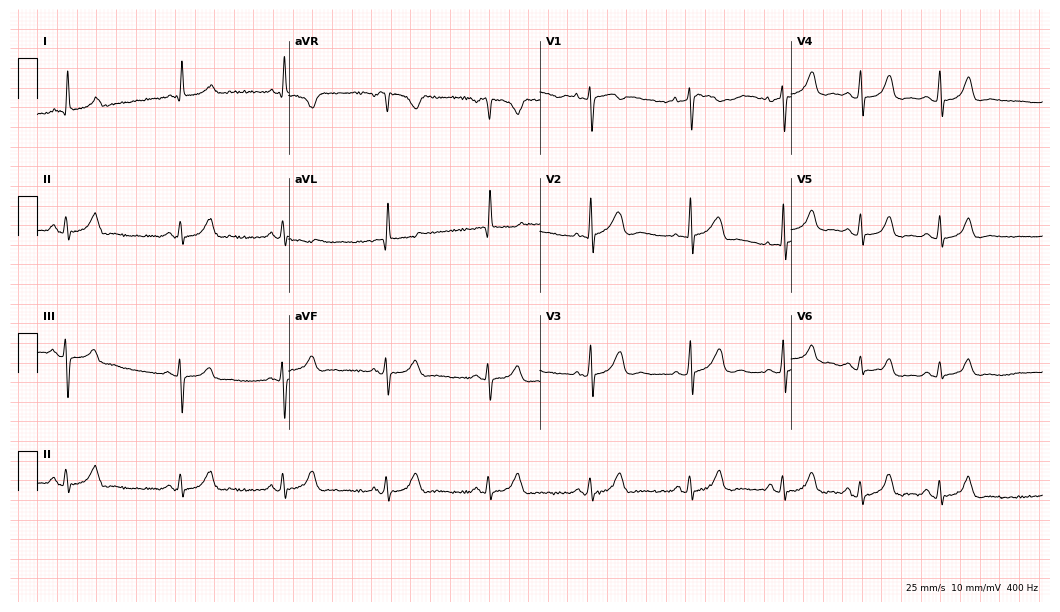
Standard 12-lead ECG recorded from a female patient, 83 years old (10.2-second recording at 400 Hz). Read as a normal ECG.